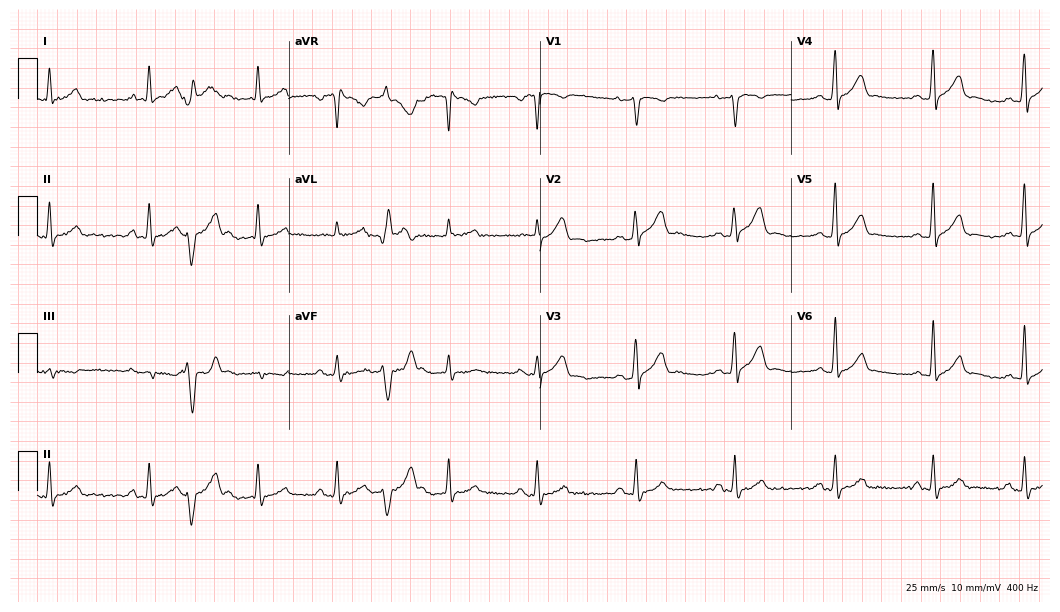
ECG — a 30-year-old male patient. Labelled as a normal ECG.